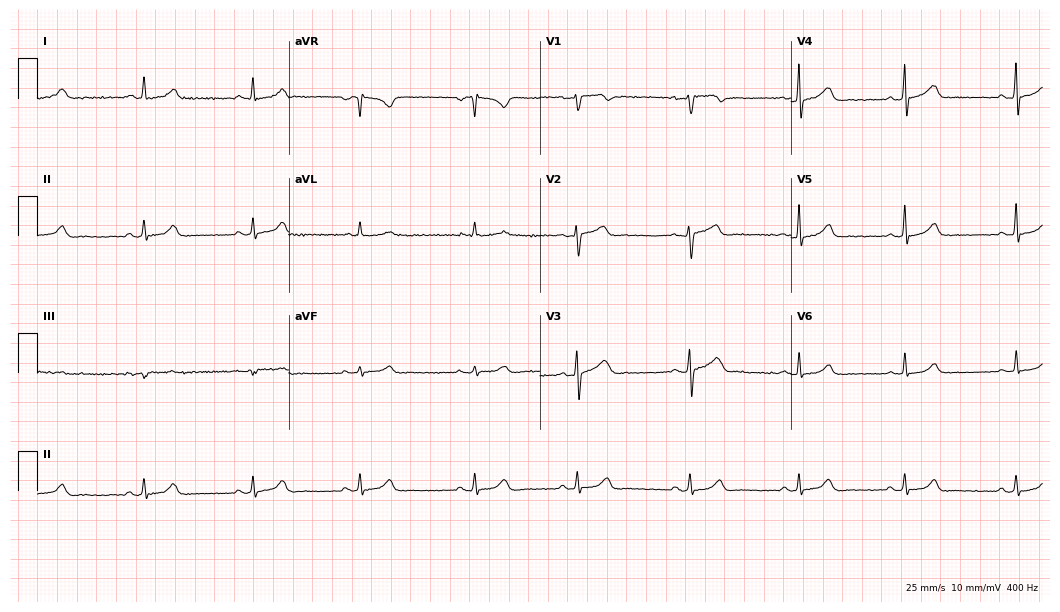
Resting 12-lead electrocardiogram. Patient: a woman, 42 years old. None of these six findings is recorded: first-degree AV block, right bundle branch block, left bundle branch block, sinus bradycardia, atrial fibrillation, sinus tachycardia.